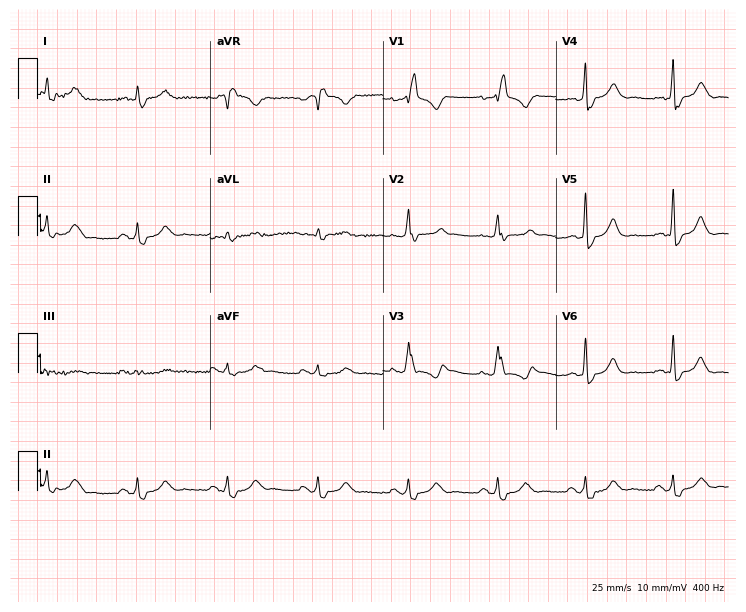
Resting 12-lead electrocardiogram. Patient: a 66-year-old man. The tracing shows right bundle branch block.